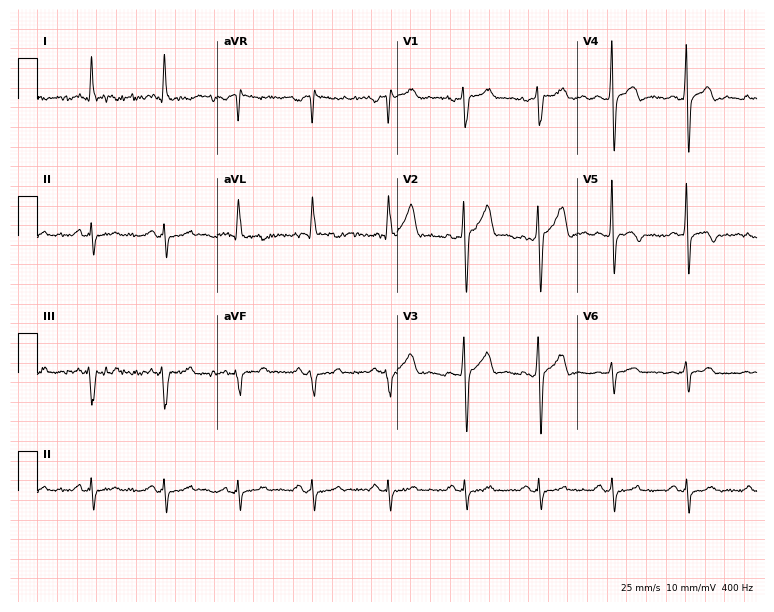
Resting 12-lead electrocardiogram (7.3-second recording at 400 Hz). Patient: a 56-year-old man. None of these six findings is recorded: first-degree AV block, right bundle branch block, left bundle branch block, sinus bradycardia, atrial fibrillation, sinus tachycardia.